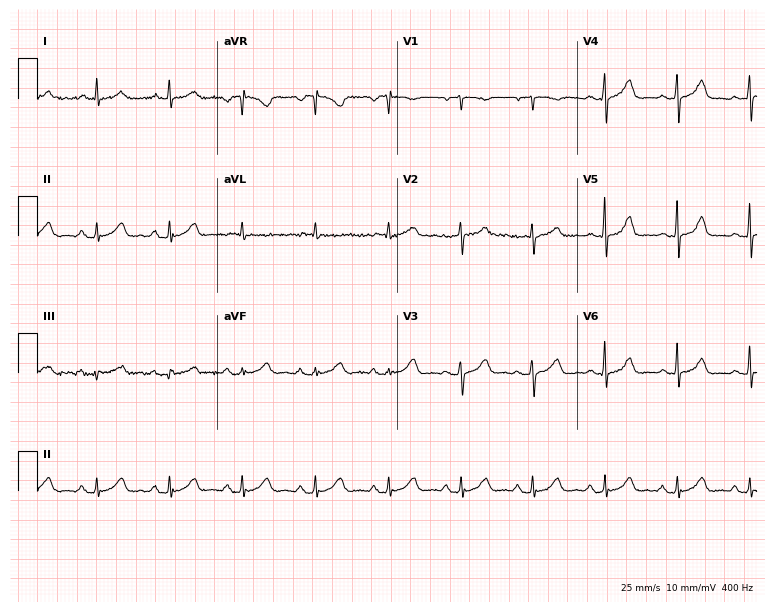
ECG — a female, 67 years old. Labelled as a normal ECG.